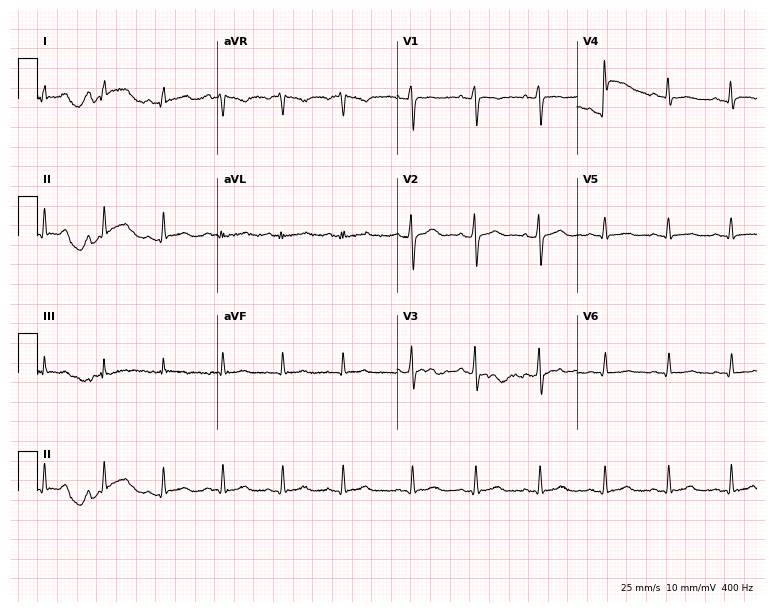
ECG — a 34-year-old female patient. Screened for six findings — first-degree AV block, right bundle branch block, left bundle branch block, sinus bradycardia, atrial fibrillation, sinus tachycardia — none is recorded. Other findings, if any, are not listed.